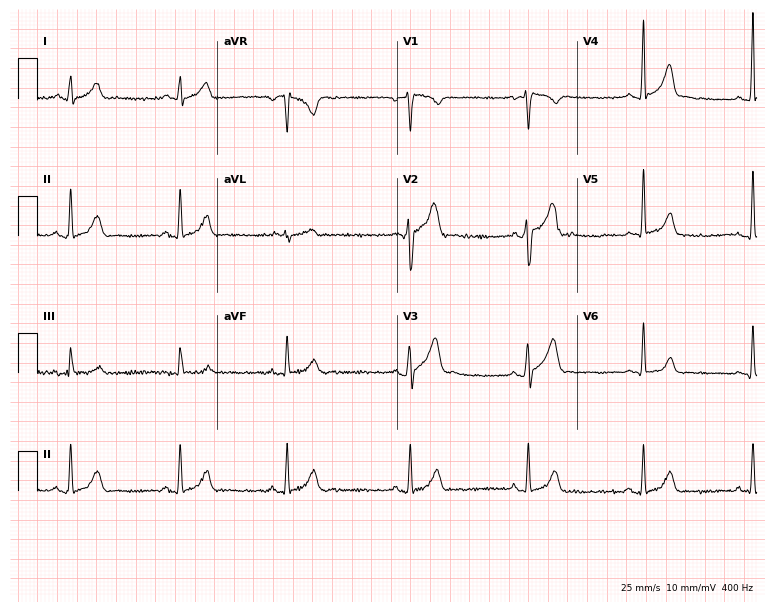
Electrocardiogram, a male patient, 23 years old. Overall reading on record: normal ECG.